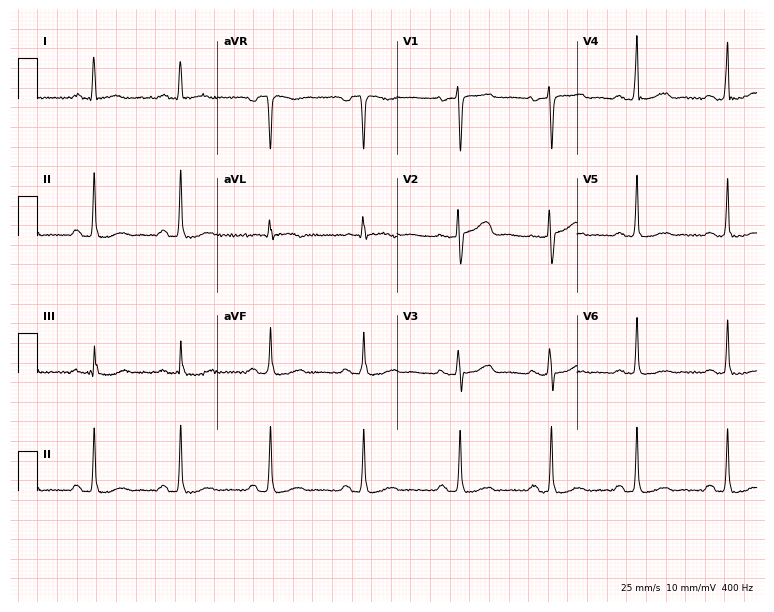
Electrocardiogram (7.3-second recording at 400 Hz), a female, 63 years old. Of the six screened findings (first-degree AV block, right bundle branch block, left bundle branch block, sinus bradycardia, atrial fibrillation, sinus tachycardia), none is recorded.